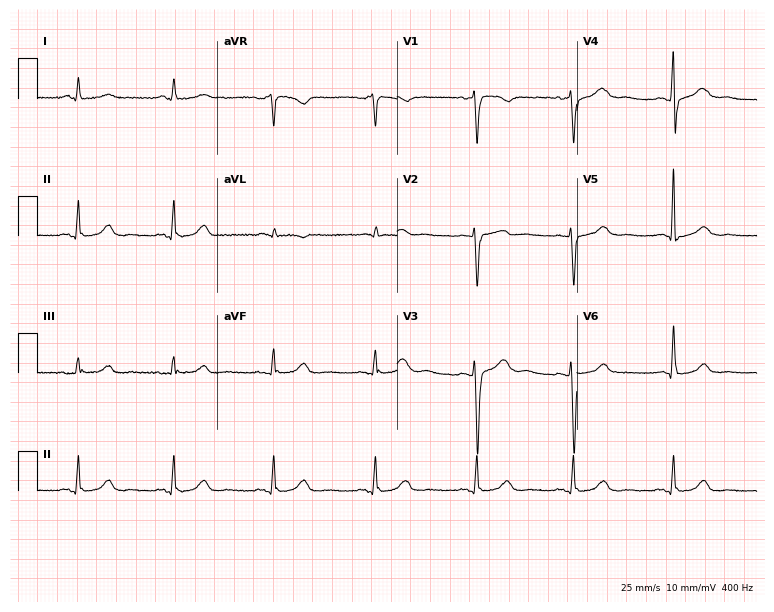
12-lead ECG from a female patient, 54 years old (7.3-second recording at 400 Hz). Recorded interpretation: within normal limits.